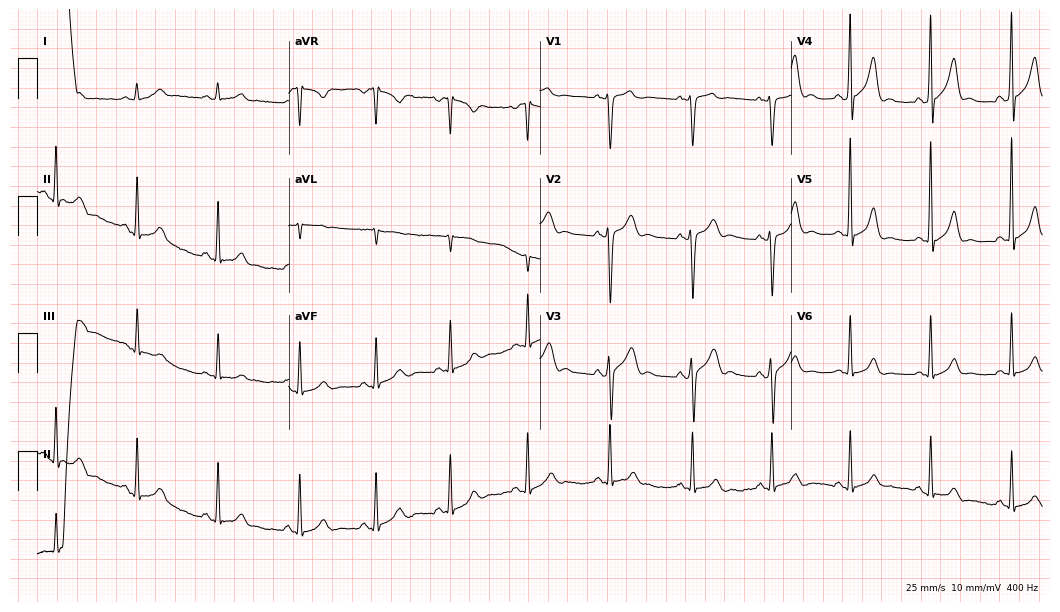
12-lead ECG (10.2-second recording at 400 Hz) from a 36-year-old male. Labelled as a normal ECG.